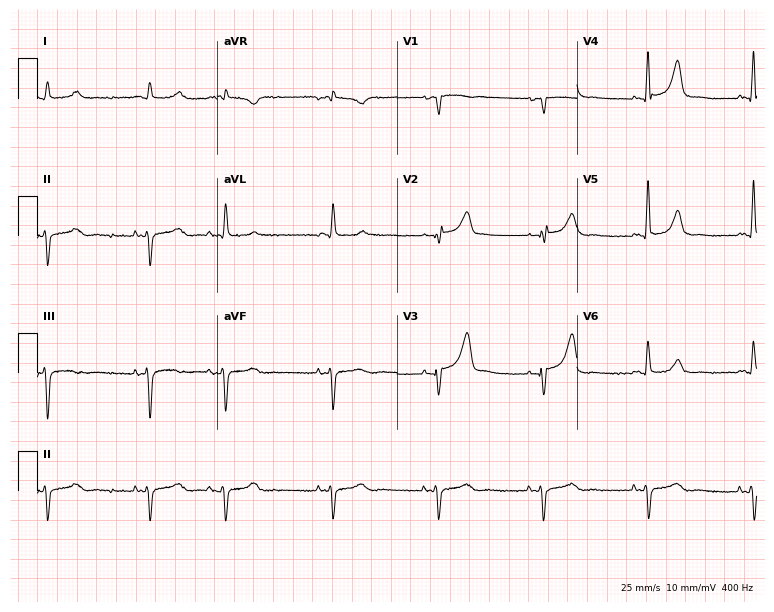
ECG — a male, 76 years old. Screened for six findings — first-degree AV block, right bundle branch block, left bundle branch block, sinus bradycardia, atrial fibrillation, sinus tachycardia — none is recorded. Only these six findings were labelled.